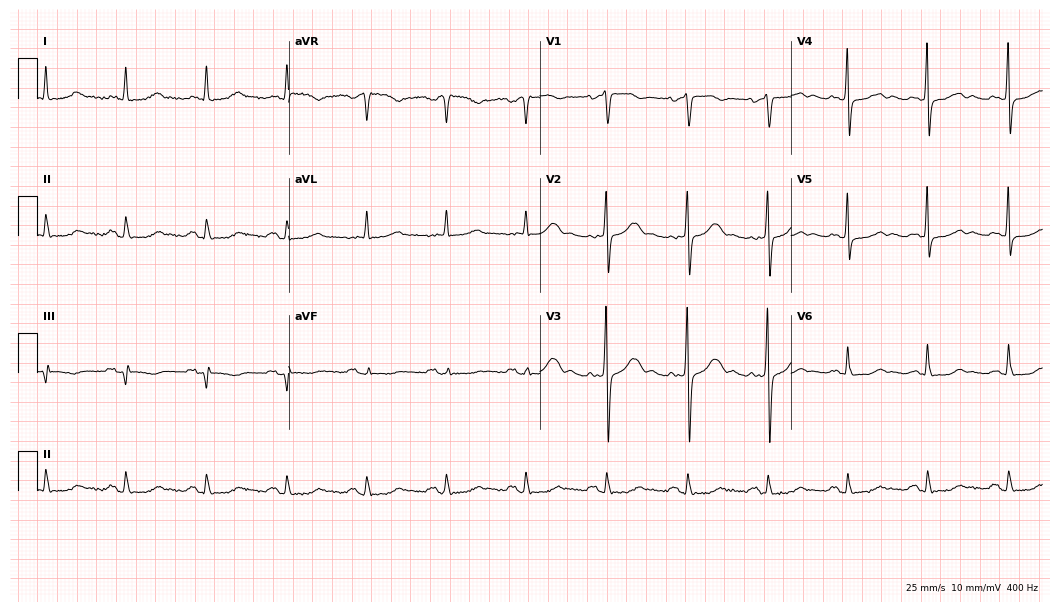
Resting 12-lead electrocardiogram. Patient: a 74-year-old female. None of these six findings is recorded: first-degree AV block, right bundle branch block, left bundle branch block, sinus bradycardia, atrial fibrillation, sinus tachycardia.